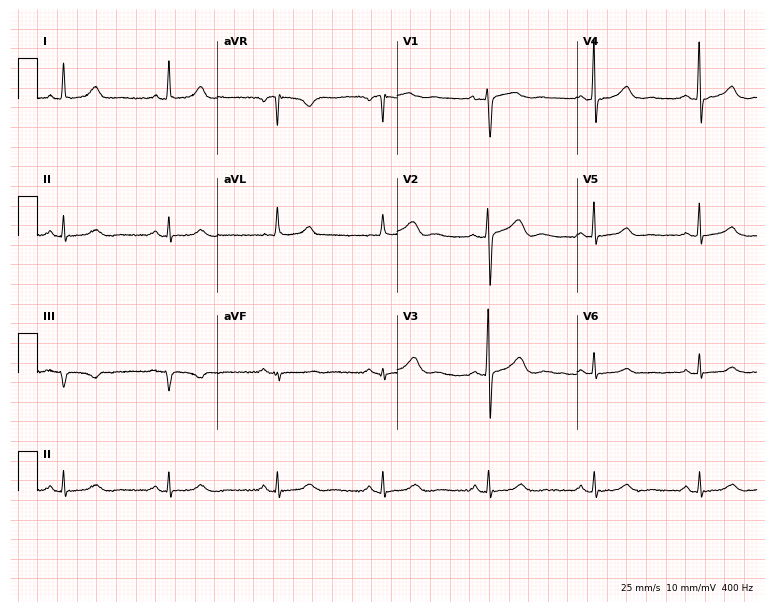
12-lead ECG from a female, 48 years old. No first-degree AV block, right bundle branch block (RBBB), left bundle branch block (LBBB), sinus bradycardia, atrial fibrillation (AF) or sinus tachycardia recorded for this tracing.